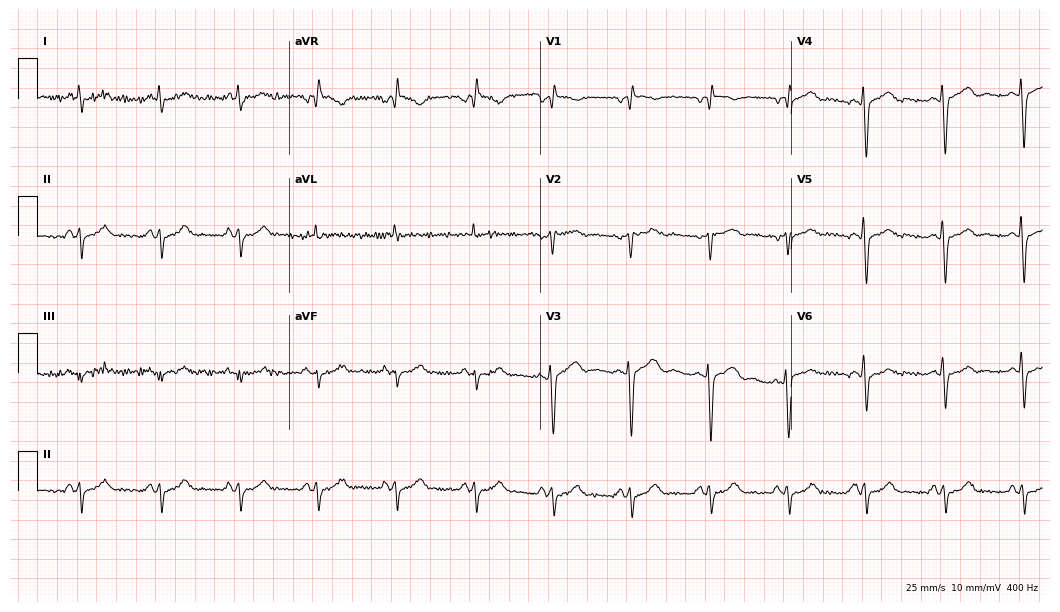
Resting 12-lead electrocardiogram (10.2-second recording at 400 Hz). Patient: a woman, 63 years old. None of these six findings is recorded: first-degree AV block, right bundle branch block, left bundle branch block, sinus bradycardia, atrial fibrillation, sinus tachycardia. Only these six findings were labelled.